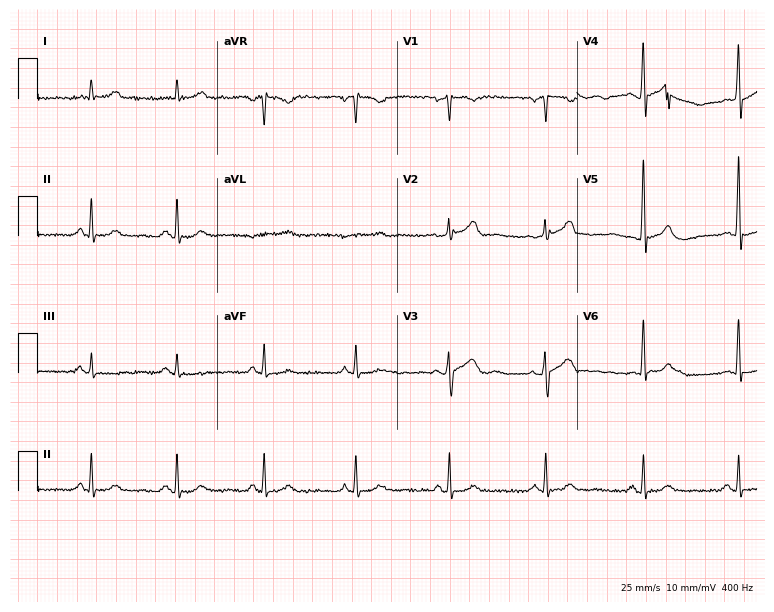
12-lead ECG from a 76-year-old man. Screened for six findings — first-degree AV block, right bundle branch block, left bundle branch block, sinus bradycardia, atrial fibrillation, sinus tachycardia — none is recorded.